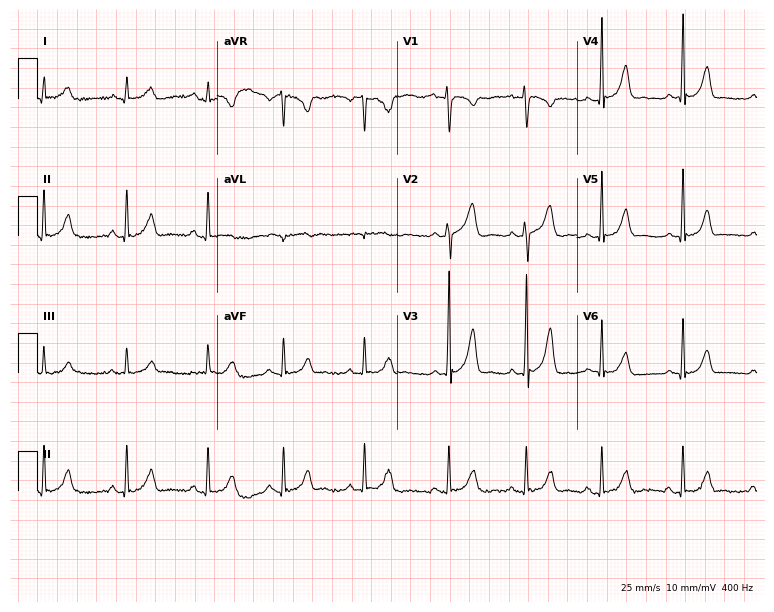
Electrocardiogram (7.3-second recording at 400 Hz), a female, 21 years old. Overall reading on record: normal ECG.